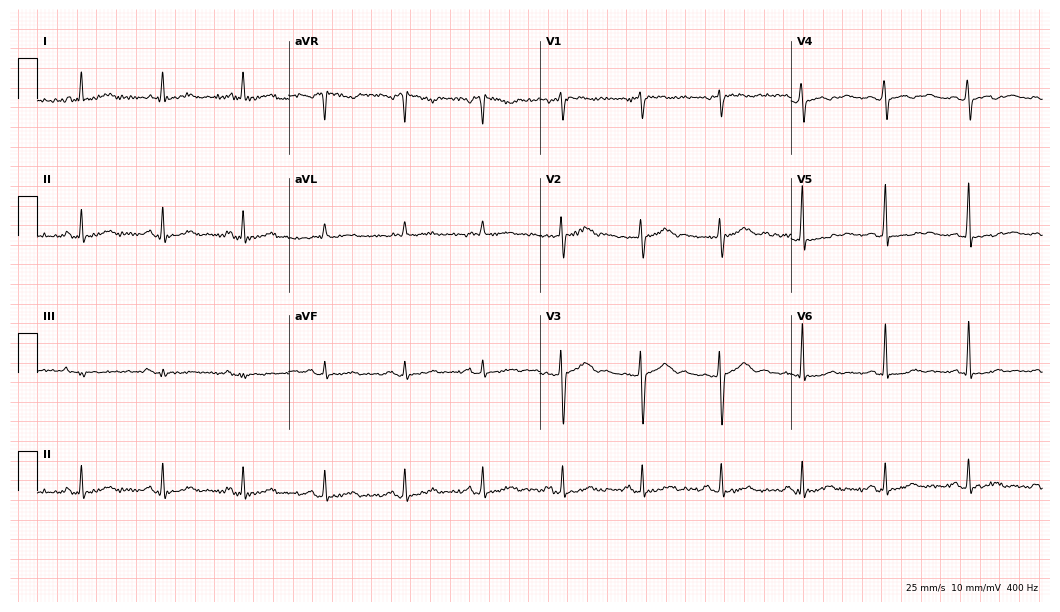
Electrocardiogram (10.2-second recording at 400 Hz), a 56-year-old woman. Of the six screened findings (first-degree AV block, right bundle branch block (RBBB), left bundle branch block (LBBB), sinus bradycardia, atrial fibrillation (AF), sinus tachycardia), none is recorded.